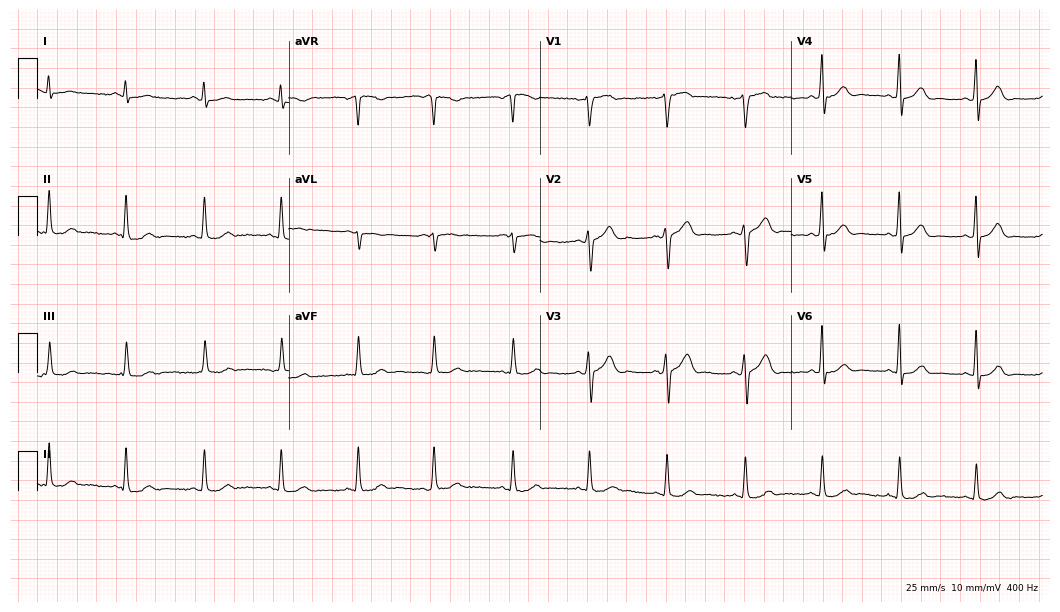
12-lead ECG from a 45-year-old man. Screened for six findings — first-degree AV block, right bundle branch block, left bundle branch block, sinus bradycardia, atrial fibrillation, sinus tachycardia — none is recorded.